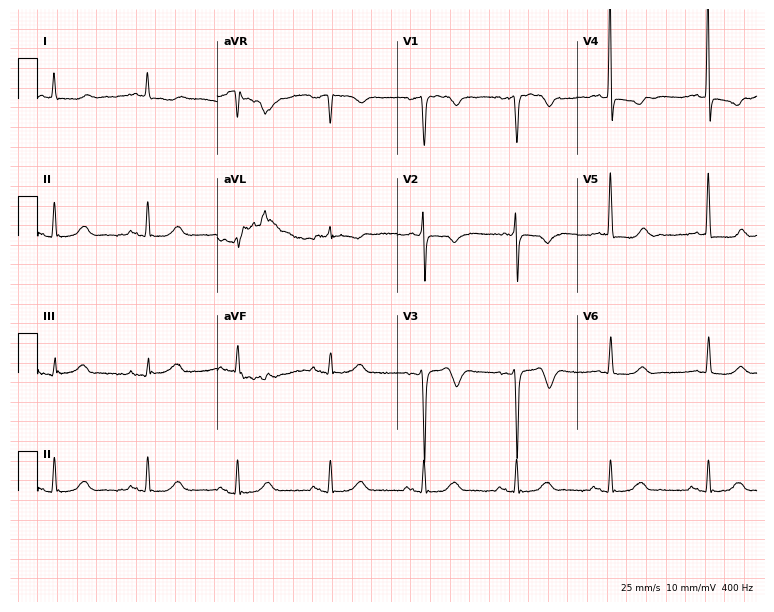
Standard 12-lead ECG recorded from a male patient, 76 years old (7.3-second recording at 400 Hz). None of these six findings is recorded: first-degree AV block, right bundle branch block, left bundle branch block, sinus bradycardia, atrial fibrillation, sinus tachycardia.